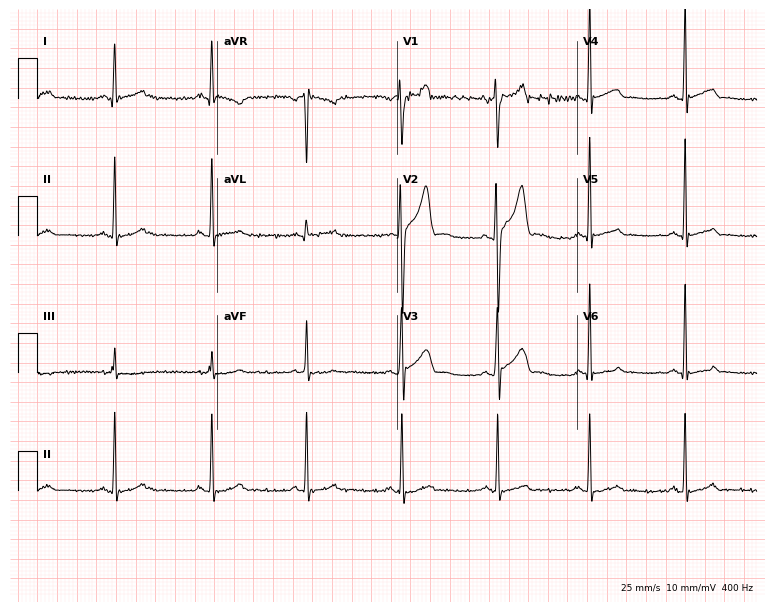
12-lead ECG from a 37-year-old man. Labelled as a normal ECG.